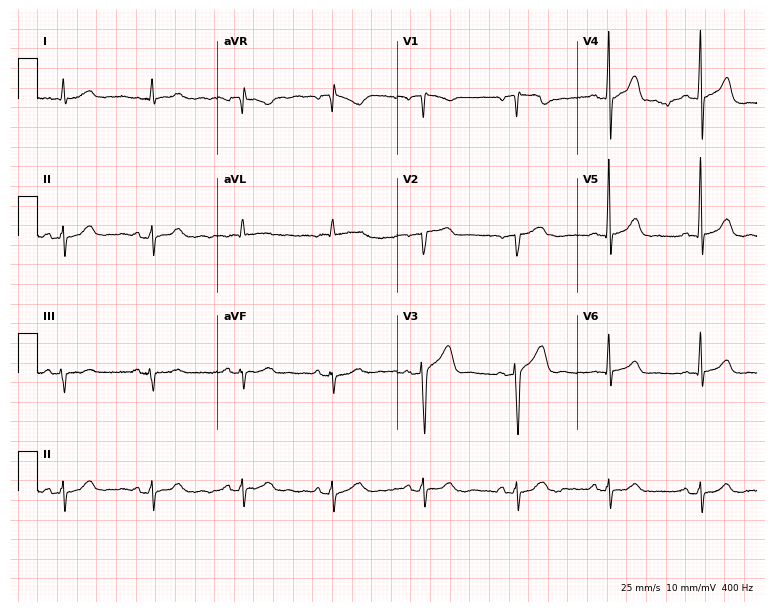
Standard 12-lead ECG recorded from a 63-year-old man. None of these six findings is recorded: first-degree AV block, right bundle branch block, left bundle branch block, sinus bradycardia, atrial fibrillation, sinus tachycardia. Only these six findings were labelled.